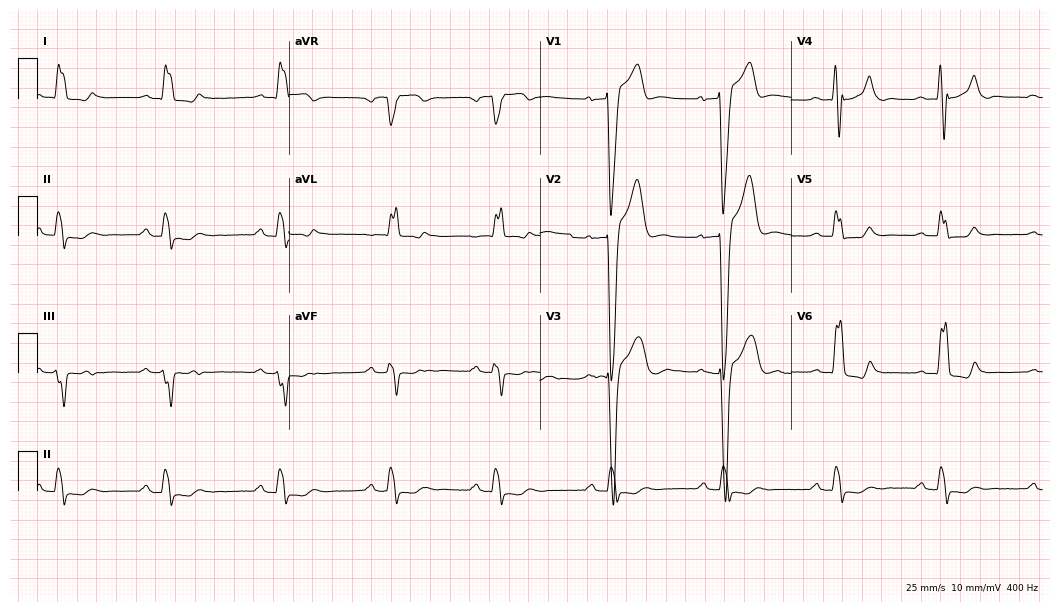
Standard 12-lead ECG recorded from a 47-year-old male (10.2-second recording at 400 Hz). The tracing shows first-degree AV block, left bundle branch block.